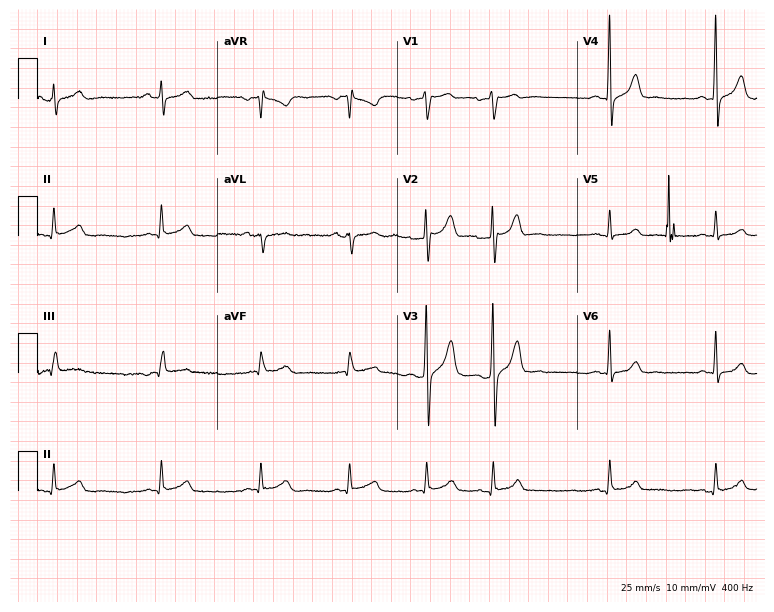
Resting 12-lead electrocardiogram (7.3-second recording at 400 Hz). Patient: a male, 33 years old. Read as a normal ECG.